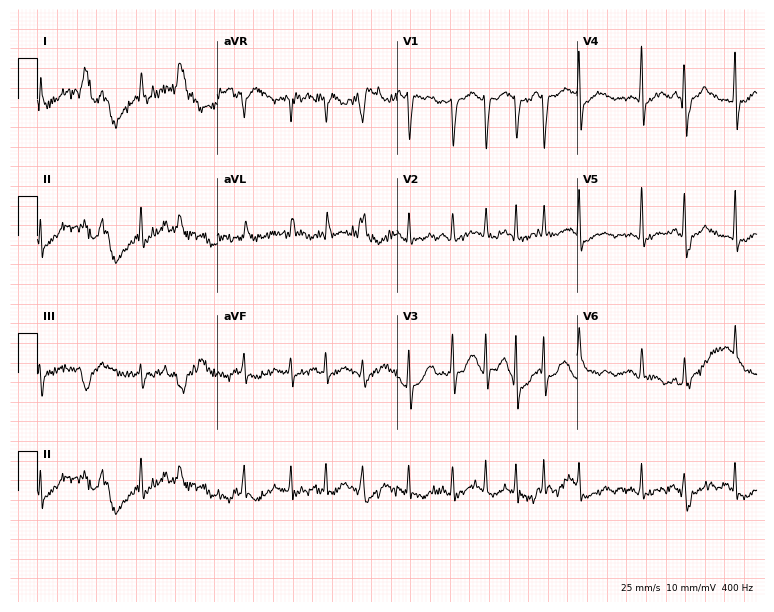
Standard 12-lead ECG recorded from an 82-year-old man (7.3-second recording at 400 Hz). None of these six findings is recorded: first-degree AV block, right bundle branch block, left bundle branch block, sinus bradycardia, atrial fibrillation, sinus tachycardia. Findings outside these six are not listed.